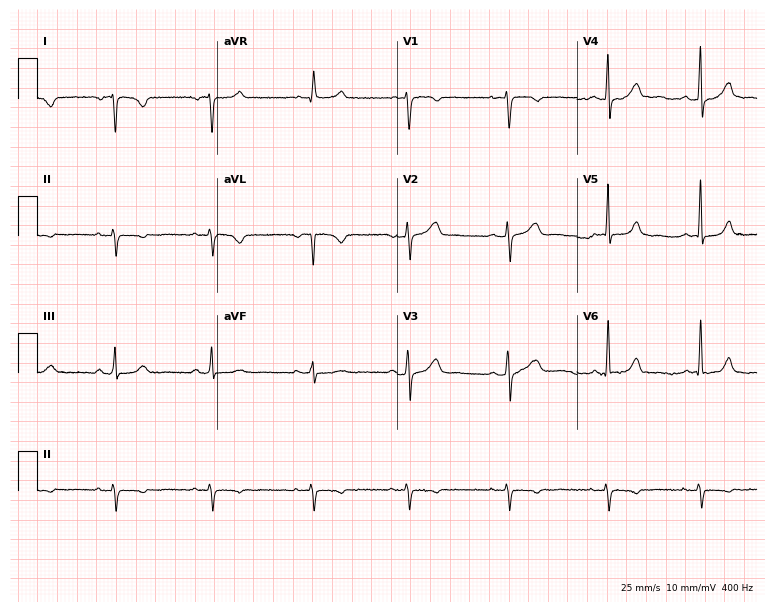
12-lead ECG from a 39-year-old female patient (7.3-second recording at 400 Hz). No first-degree AV block, right bundle branch block (RBBB), left bundle branch block (LBBB), sinus bradycardia, atrial fibrillation (AF) or sinus tachycardia recorded for this tracing. Only these six findings were labelled.